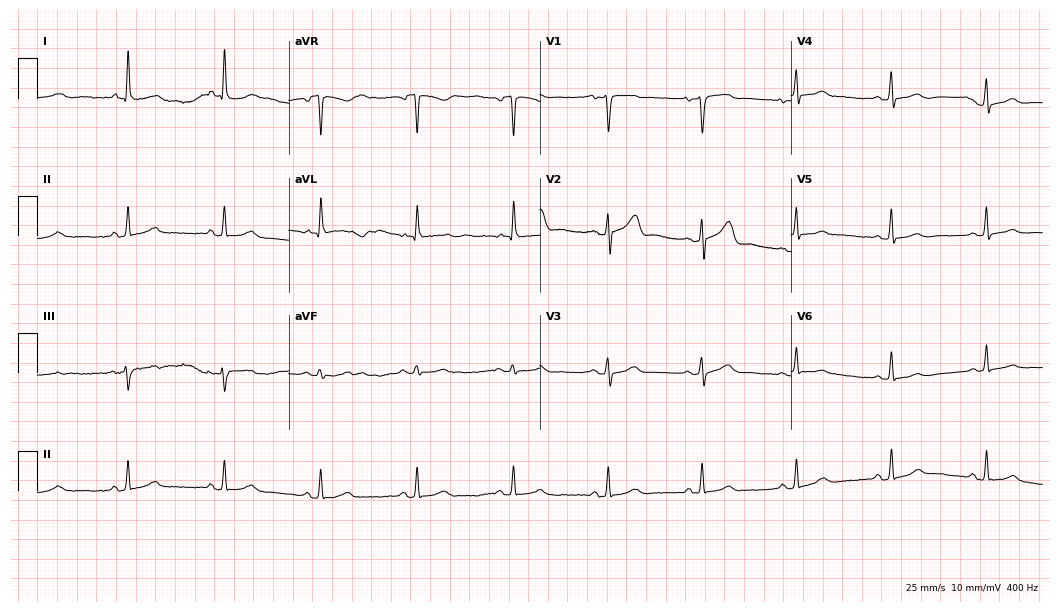
12-lead ECG from a woman, 76 years old (10.2-second recording at 400 Hz). Recorded interpretation: within normal limits.